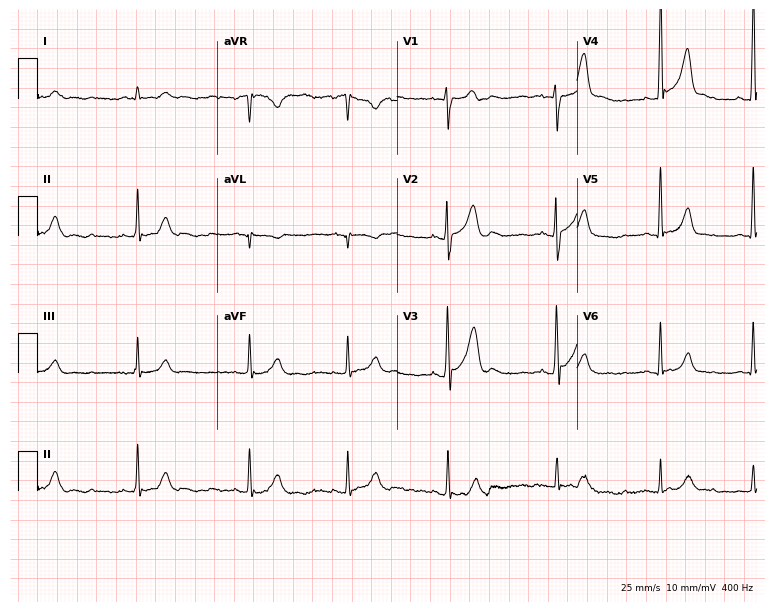
12-lead ECG from a male, 28 years old. Labelled as a normal ECG.